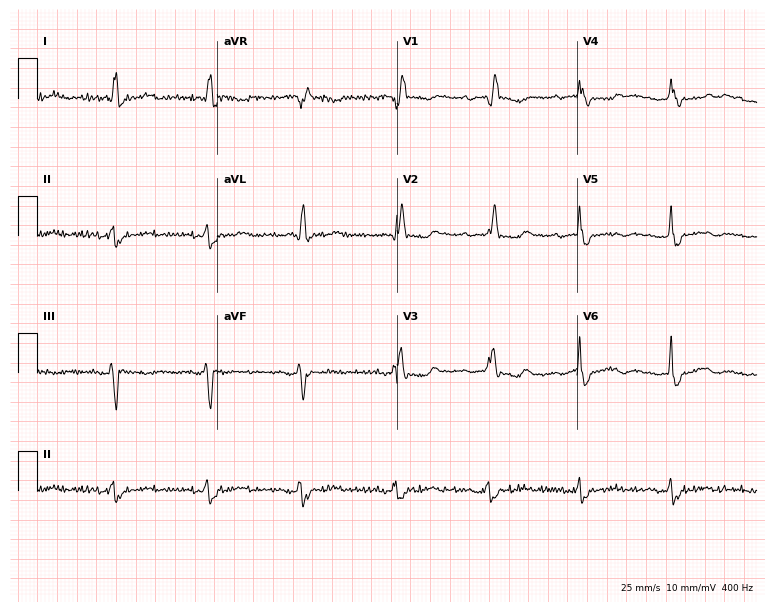
Electrocardiogram (7.3-second recording at 400 Hz), a 79-year-old female. Interpretation includes first-degree AV block, right bundle branch block (RBBB).